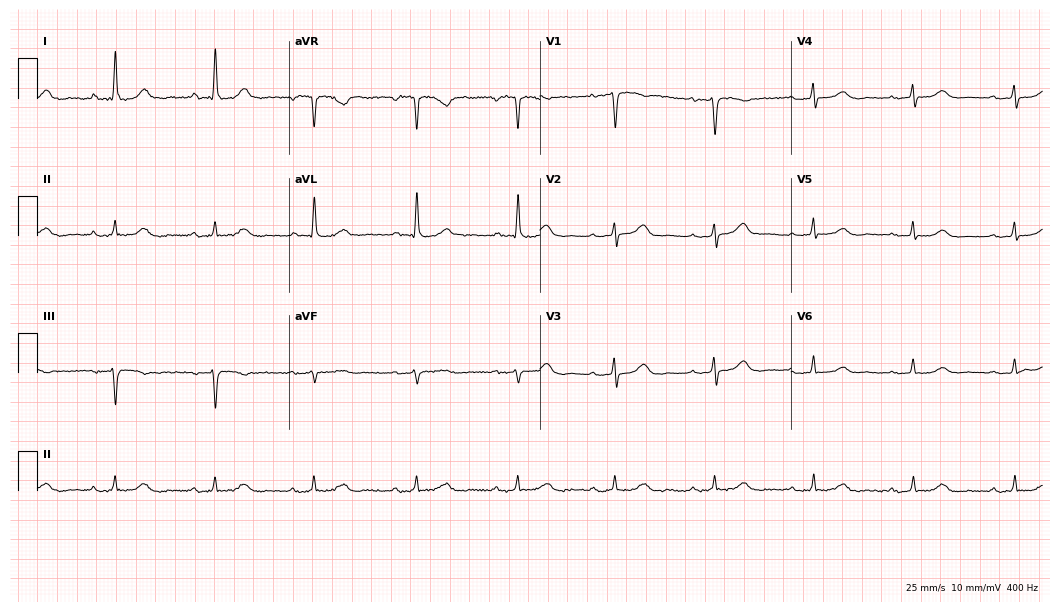
Standard 12-lead ECG recorded from a woman, 72 years old (10.2-second recording at 400 Hz). The tracing shows first-degree AV block.